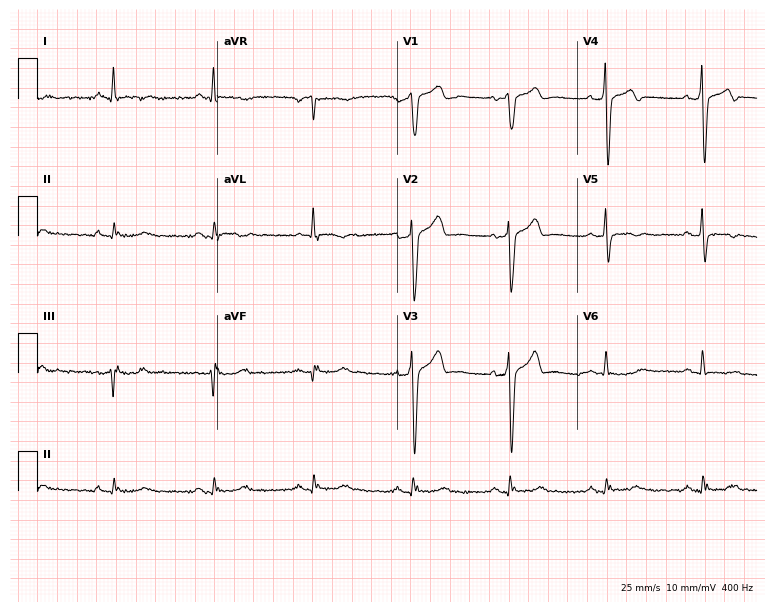
12-lead ECG from a 53-year-old male. Screened for six findings — first-degree AV block, right bundle branch block, left bundle branch block, sinus bradycardia, atrial fibrillation, sinus tachycardia — none is recorded.